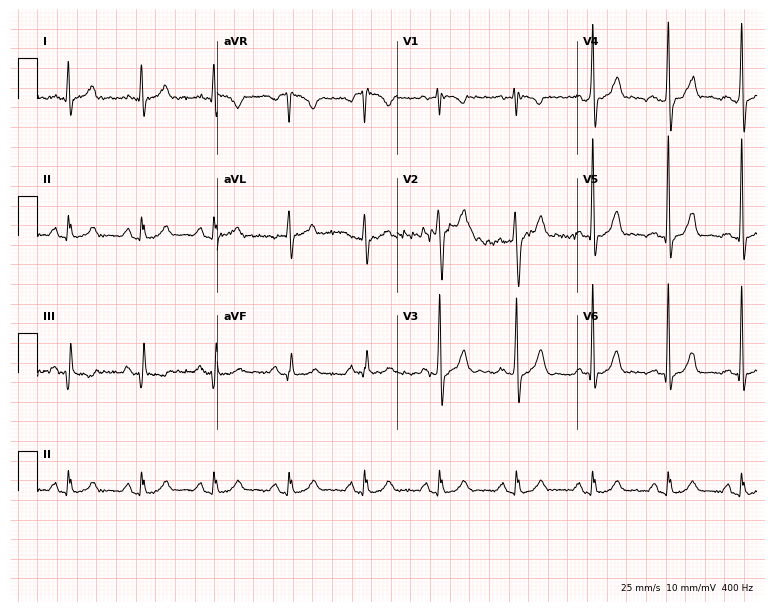
12-lead ECG from a 47-year-old male. Recorded interpretation: within normal limits.